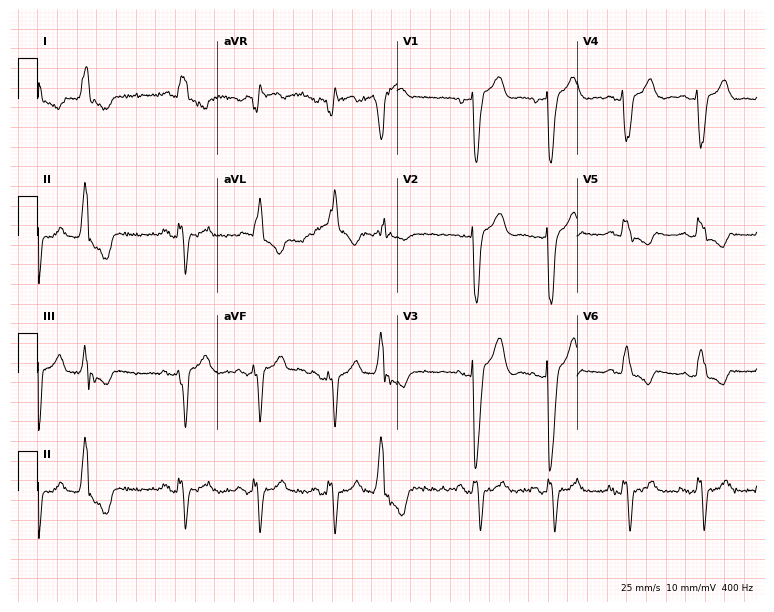
12-lead ECG from a female patient, 81 years old (7.3-second recording at 400 Hz). Shows left bundle branch block.